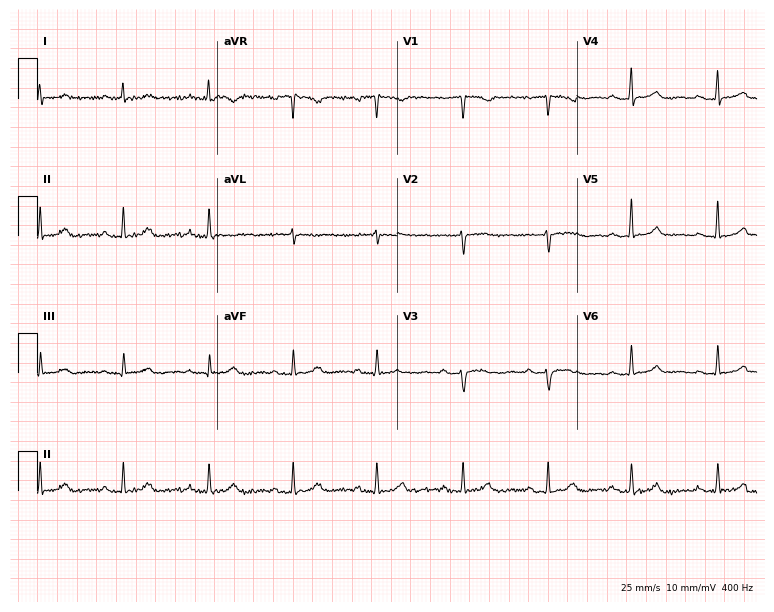
ECG — a female, 45 years old. Screened for six findings — first-degree AV block, right bundle branch block, left bundle branch block, sinus bradycardia, atrial fibrillation, sinus tachycardia — none is recorded. Other findings, if any, are not listed.